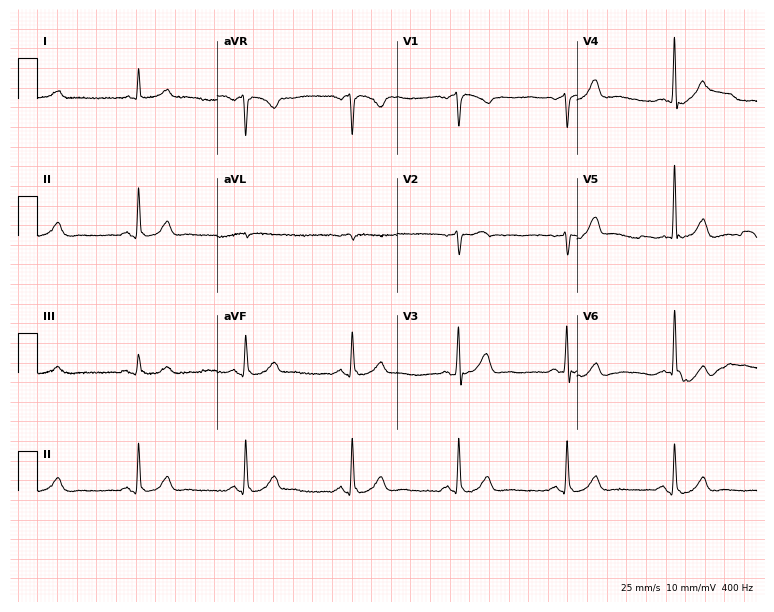
ECG — a 64-year-old man. Labelled as a normal ECG.